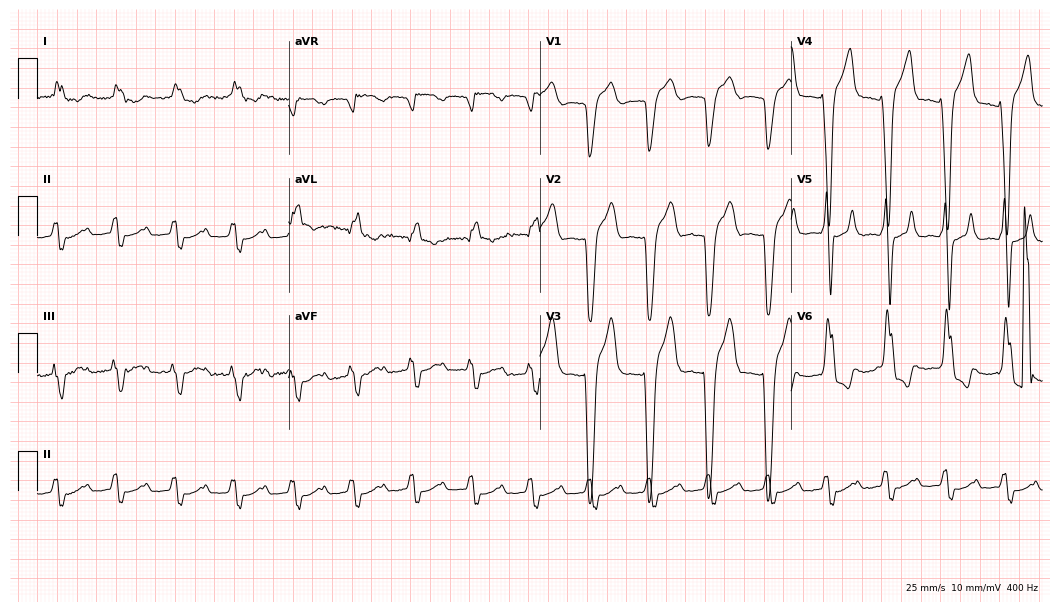
ECG (10.2-second recording at 400 Hz) — a male patient, 84 years old. Findings include first-degree AV block, left bundle branch block (LBBB).